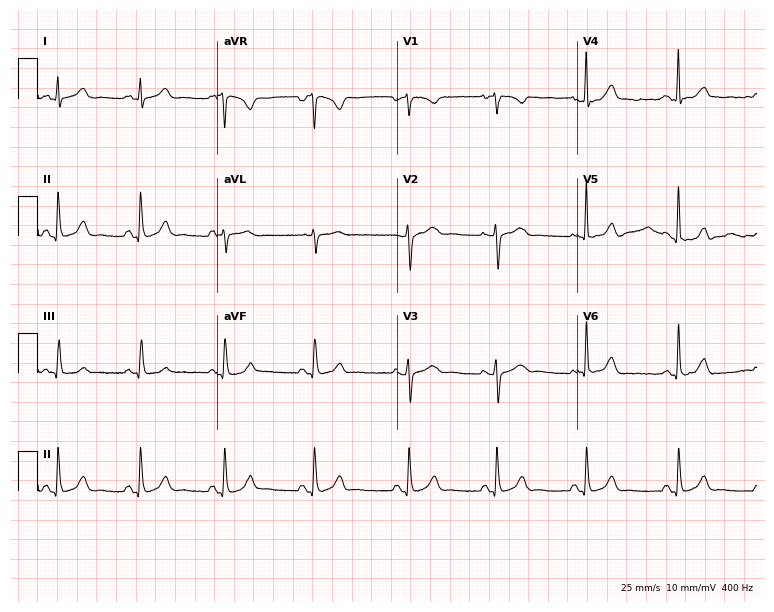
Standard 12-lead ECG recorded from a 40-year-old woman. Read as a normal ECG.